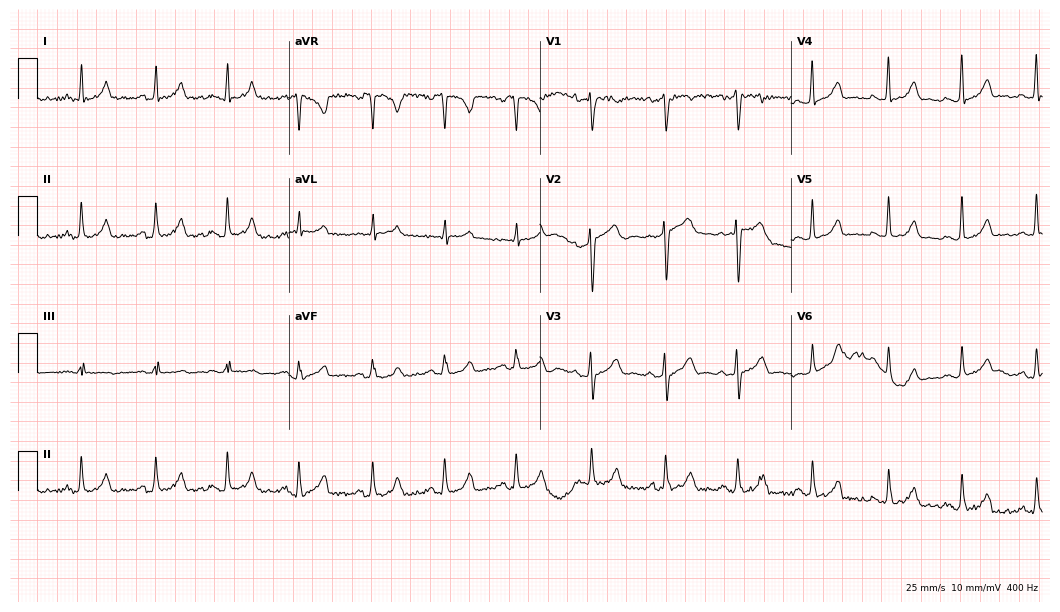
Standard 12-lead ECG recorded from a woman, 37 years old (10.2-second recording at 400 Hz). None of these six findings is recorded: first-degree AV block, right bundle branch block, left bundle branch block, sinus bradycardia, atrial fibrillation, sinus tachycardia. Only these six findings were labelled.